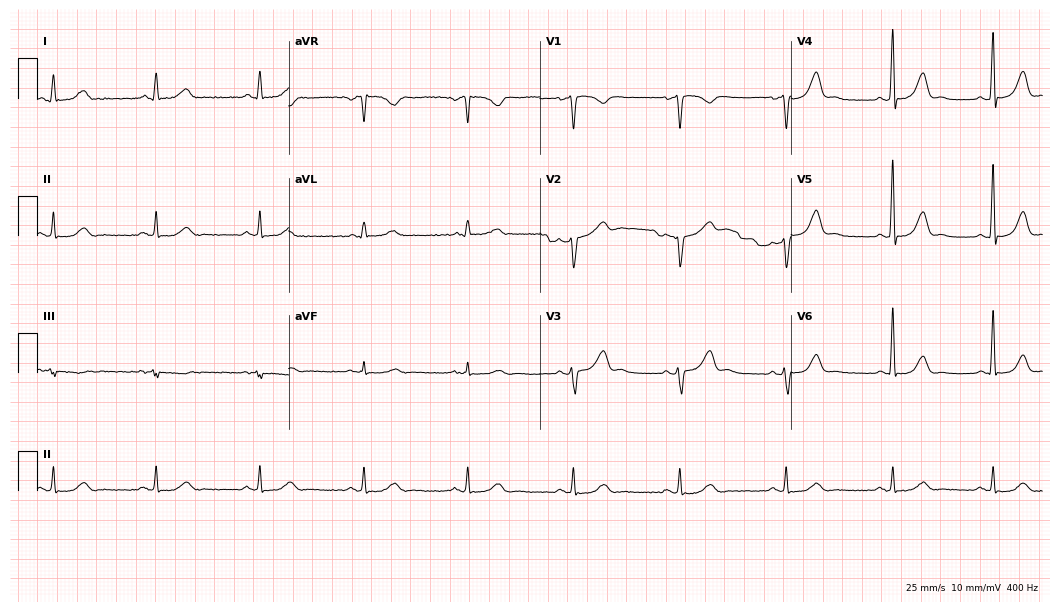
Resting 12-lead electrocardiogram. Patient: a 52-year-old male. Read as a normal ECG.